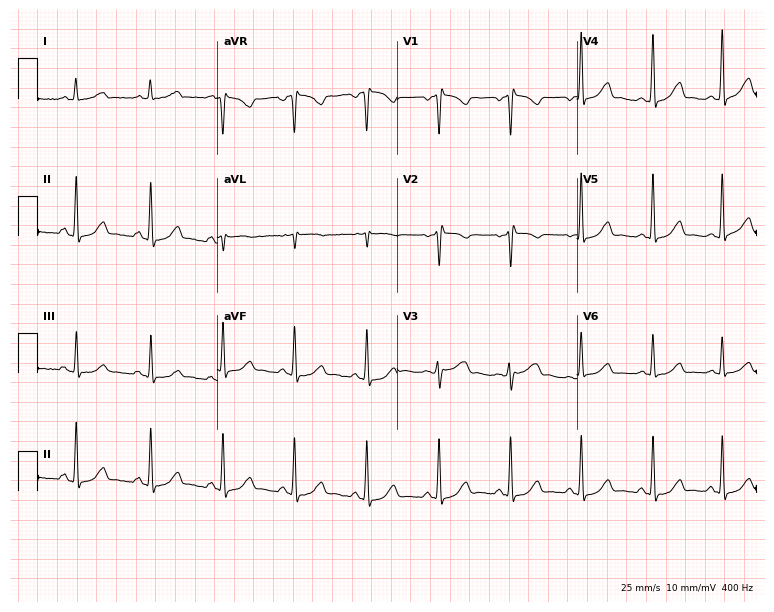
12-lead ECG (7.3-second recording at 400 Hz) from a 48-year-old woman. Screened for six findings — first-degree AV block, right bundle branch block (RBBB), left bundle branch block (LBBB), sinus bradycardia, atrial fibrillation (AF), sinus tachycardia — none is recorded. Other findings, if any, are not listed.